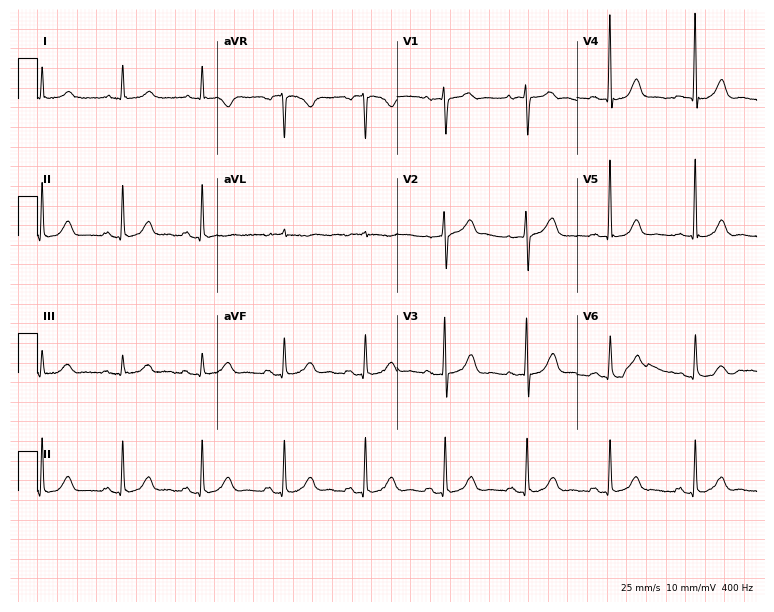
Standard 12-lead ECG recorded from a 72-year-old woman. Read as a normal ECG.